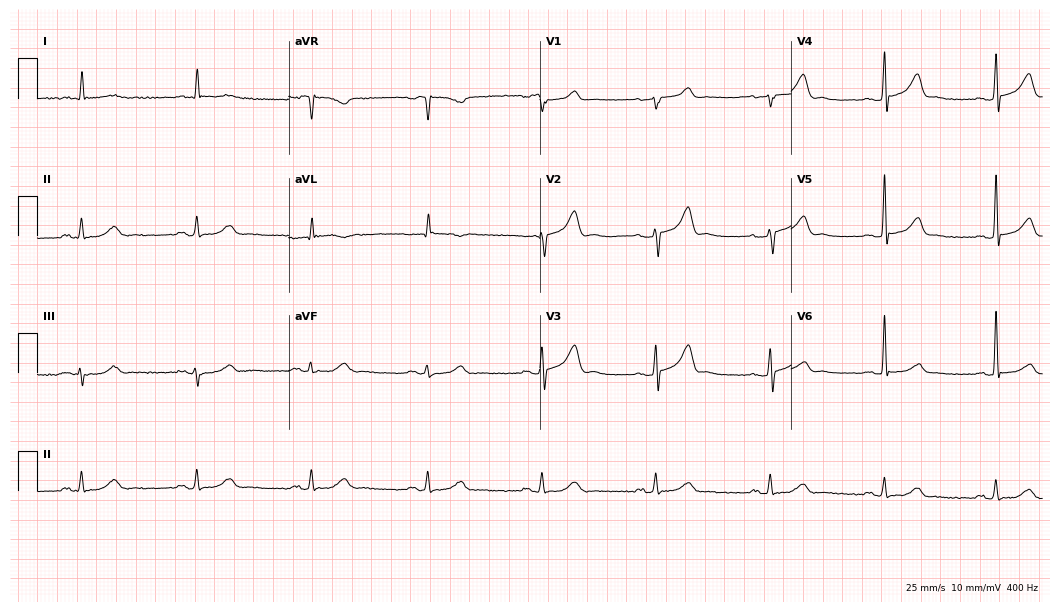
12-lead ECG (10.2-second recording at 400 Hz) from a 61-year-old male patient. Screened for six findings — first-degree AV block, right bundle branch block (RBBB), left bundle branch block (LBBB), sinus bradycardia, atrial fibrillation (AF), sinus tachycardia — none is recorded.